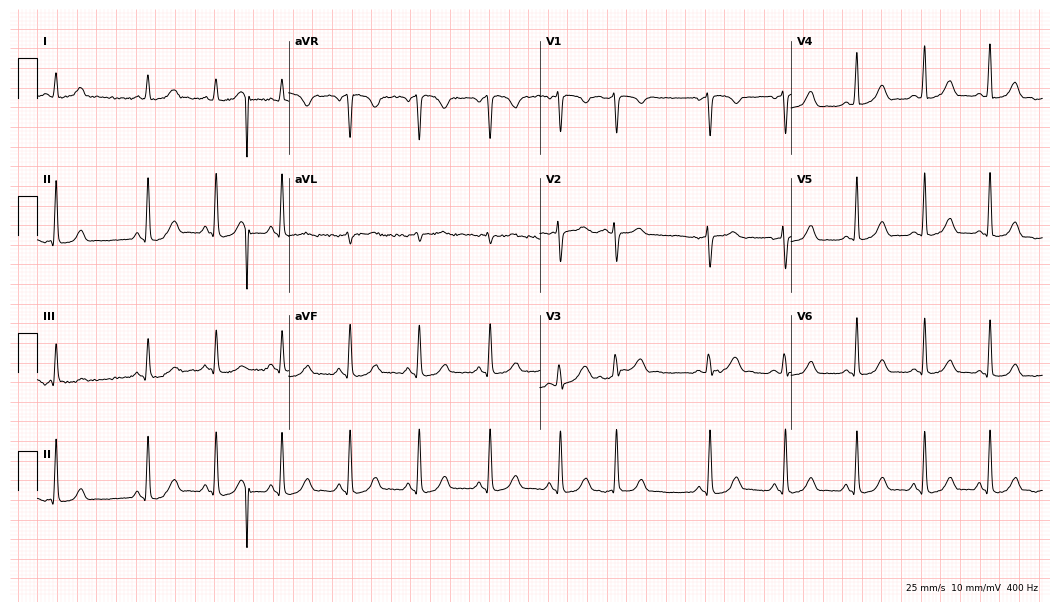
12-lead ECG (10.2-second recording at 400 Hz) from a 47-year-old female patient. Screened for six findings — first-degree AV block, right bundle branch block, left bundle branch block, sinus bradycardia, atrial fibrillation, sinus tachycardia — none is recorded. Findings outside these six are not listed.